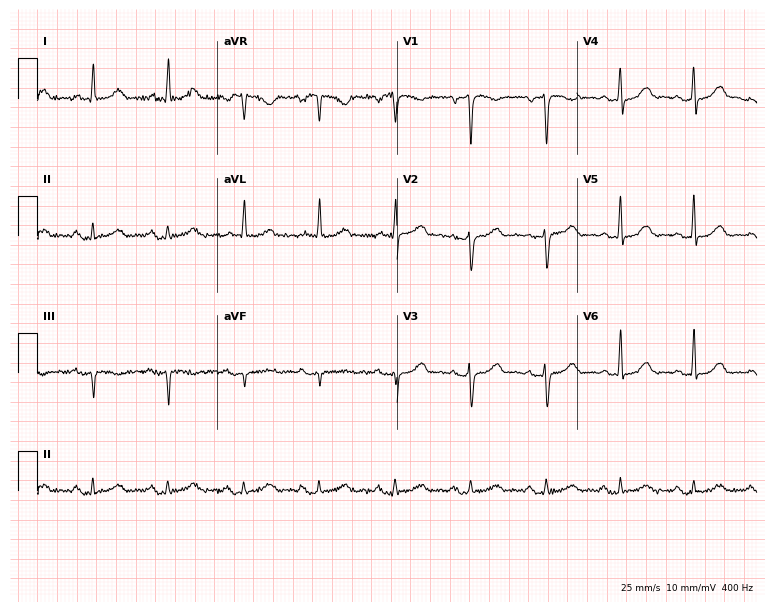
12-lead ECG from a female patient, 54 years old. Screened for six findings — first-degree AV block, right bundle branch block, left bundle branch block, sinus bradycardia, atrial fibrillation, sinus tachycardia — none is recorded. Only these six findings were labelled.